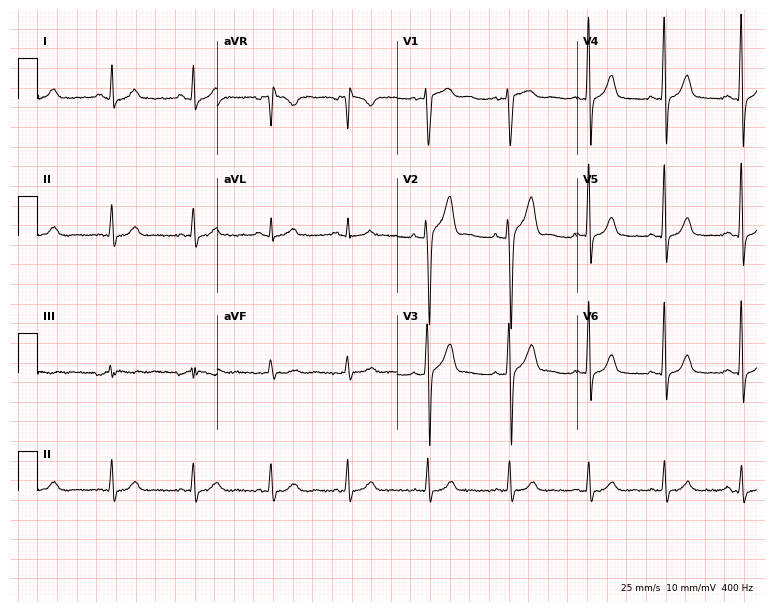
Resting 12-lead electrocardiogram. Patient: a man, 21 years old. Read as a normal ECG.